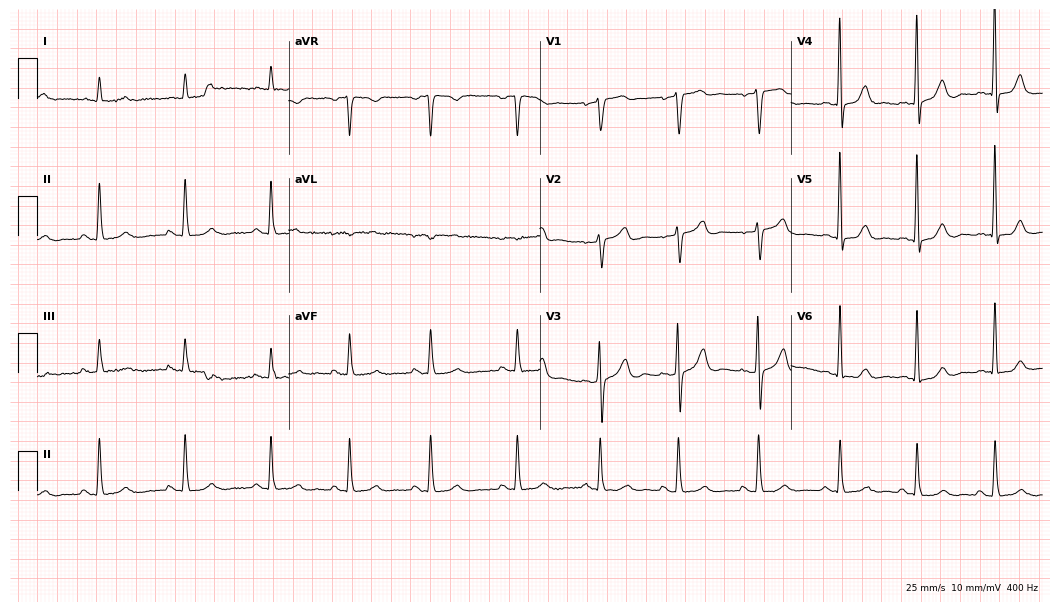
Electrocardiogram, a 72-year-old female patient. Overall reading on record: normal ECG.